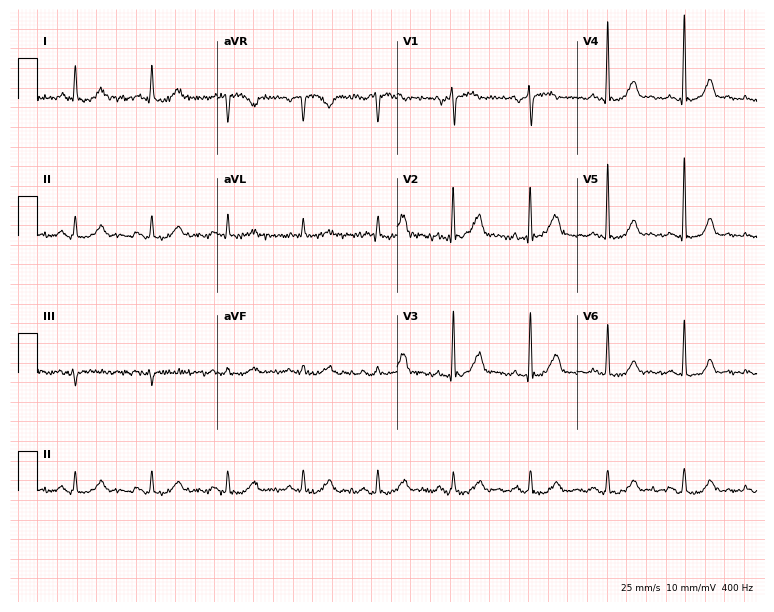
12-lead ECG from a man, 74 years old (7.3-second recording at 400 Hz). Recorded interpretation: within normal limits.